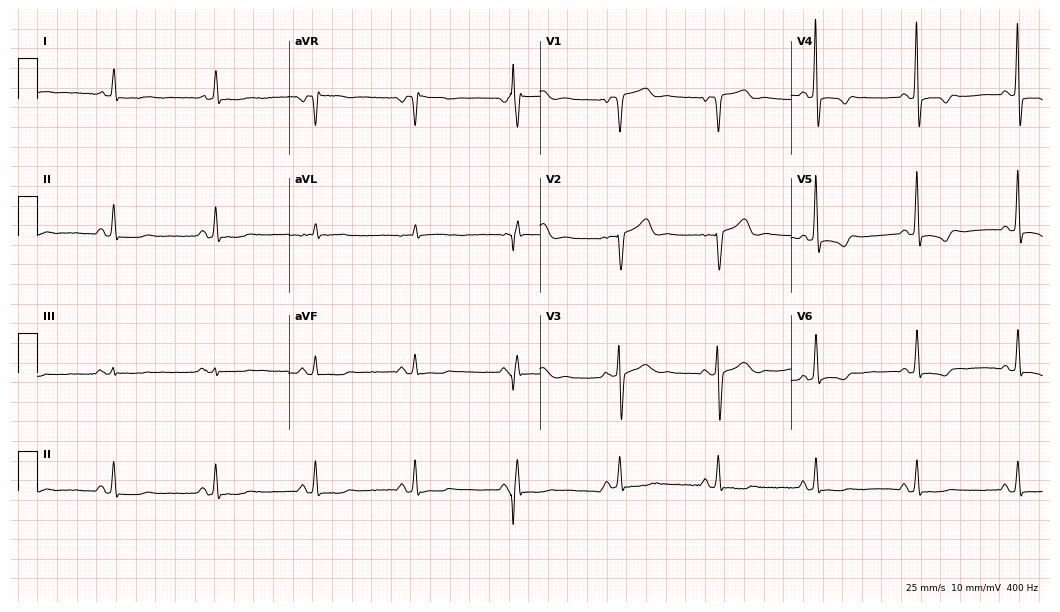
Resting 12-lead electrocardiogram. Patient: an 80-year-old male. None of these six findings is recorded: first-degree AV block, right bundle branch block, left bundle branch block, sinus bradycardia, atrial fibrillation, sinus tachycardia. Findings outside these six are not listed.